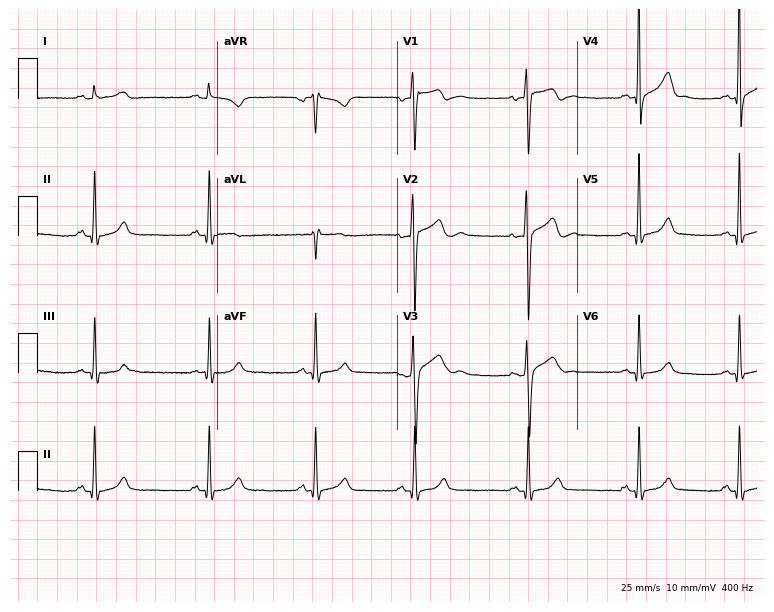
Resting 12-lead electrocardiogram. Patient: an 18-year-old male. Read as a normal ECG.